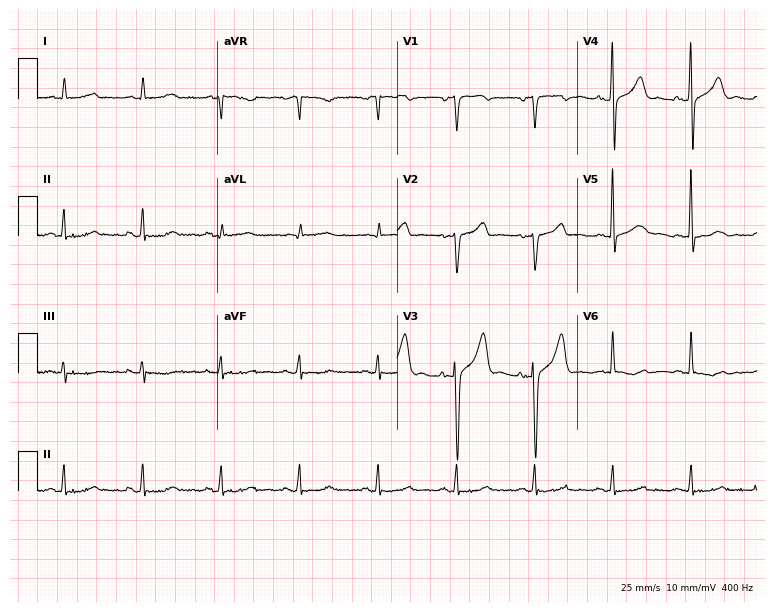
Resting 12-lead electrocardiogram (7.3-second recording at 400 Hz). Patient: a woman, 54 years old. None of these six findings is recorded: first-degree AV block, right bundle branch block, left bundle branch block, sinus bradycardia, atrial fibrillation, sinus tachycardia.